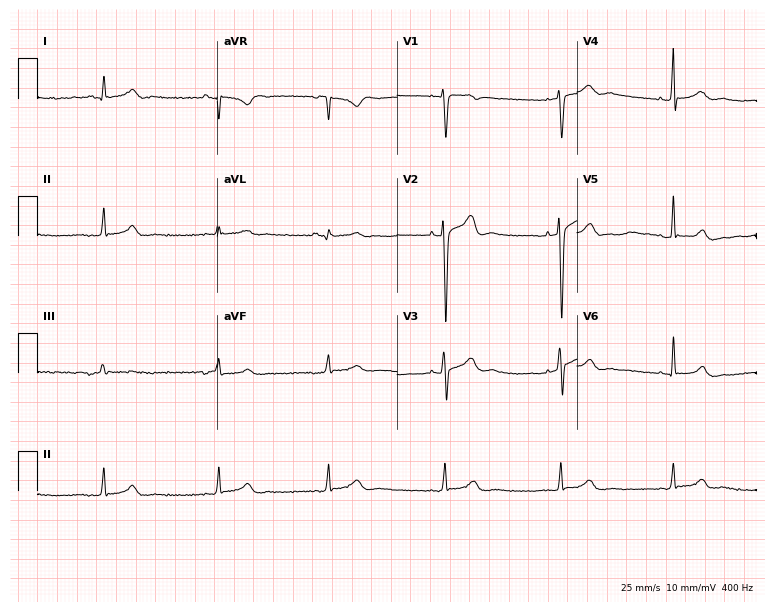
Electrocardiogram, a male patient, 19 years old. Of the six screened findings (first-degree AV block, right bundle branch block, left bundle branch block, sinus bradycardia, atrial fibrillation, sinus tachycardia), none is recorded.